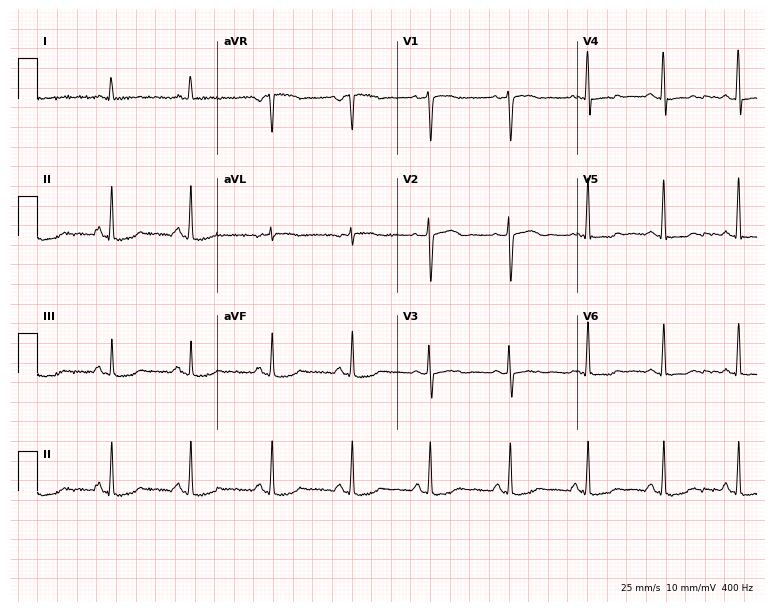
Resting 12-lead electrocardiogram (7.3-second recording at 400 Hz). Patient: a female, 51 years old. None of these six findings is recorded: first-degree AV block, right bundle branch block, left bundle branch block, sinus bradycardia, atrial fibrillation, sinus tachycardia. Other findings, if any, are not listed.